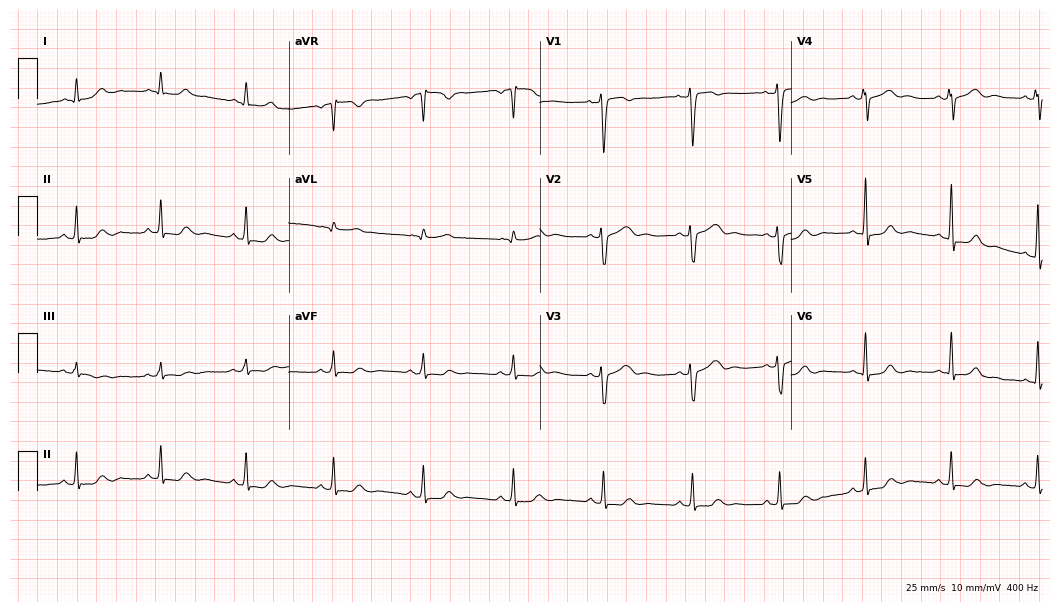
Resting 12-lead electrocardiogram (10.2-second recording at 400 Hz). Patient: a woman, 46 years old. None of these six findings is recorded: first-degree AV block, right bundle branch block, left bundle branch block, sinus bradycardia, atrial fibrillation, sinus tachycardia. Only these six findings were labelled.